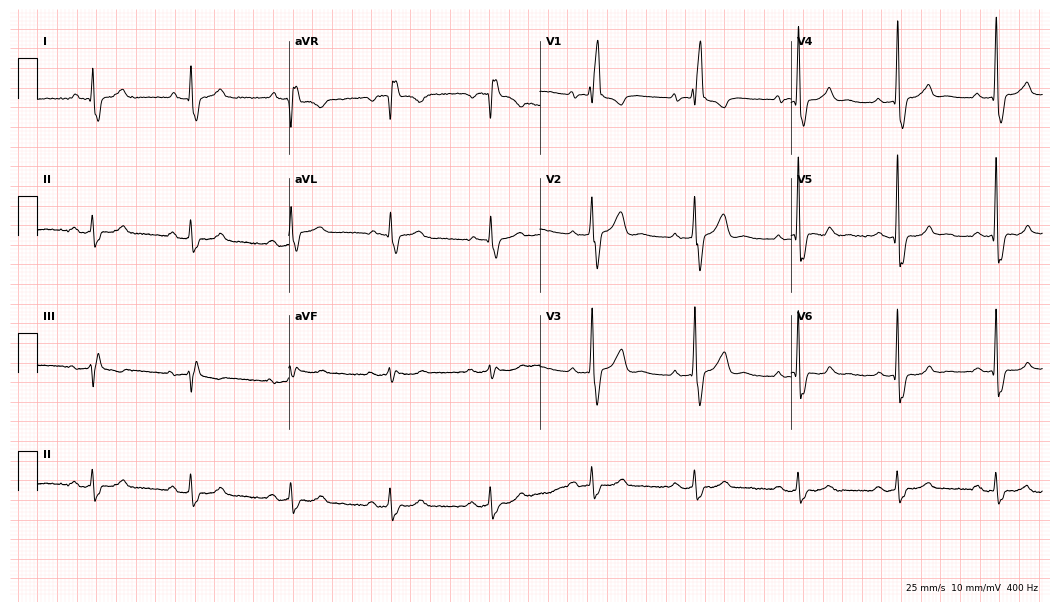
Standard 12-lead ECG recorded from a 63-year-old man (10.2-second recording at 400 Hz). The tracing shows first-degree AV block, right bundle branch block (RBBB).